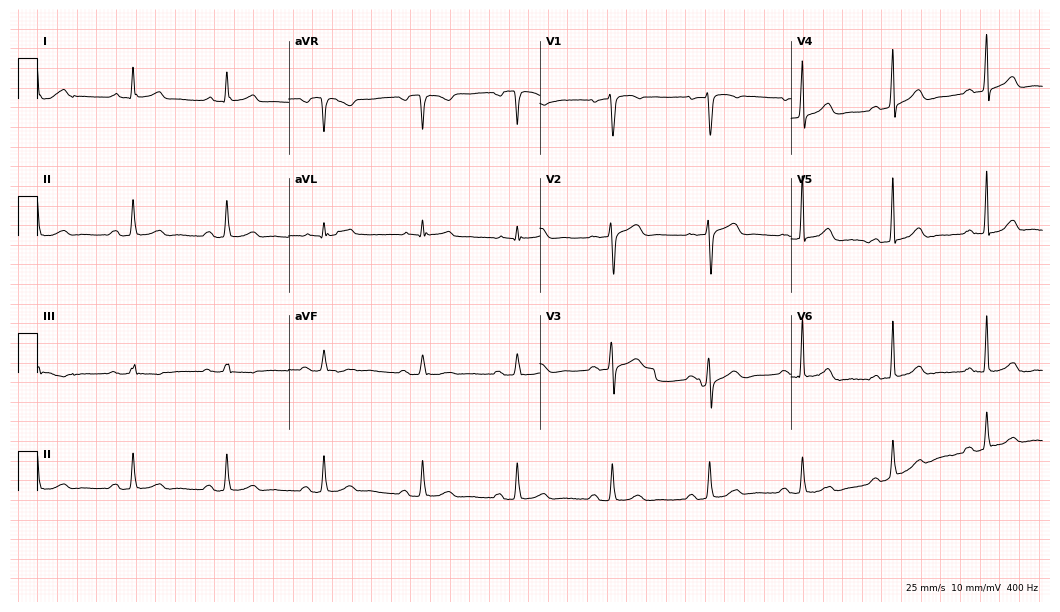
Standard 12-lead ECG recorded from a 57-year-old male patient (10.2-second recording at 400 Hz). Read as a normal ECG.